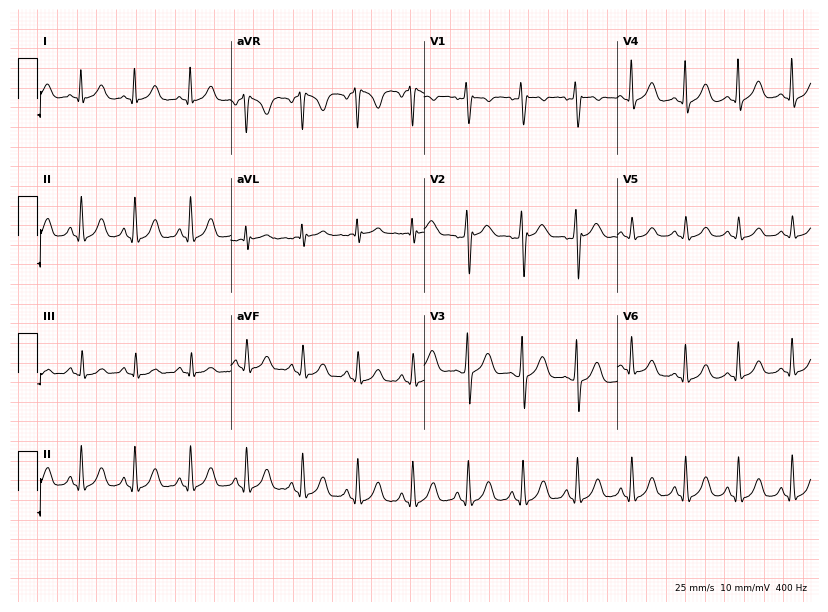
12-lead ECG from a 30-year-old woman (7.9-second recording at 400 Hz). Shows sinus tachycardia (a sinus rate of 100 beats per minute or more).